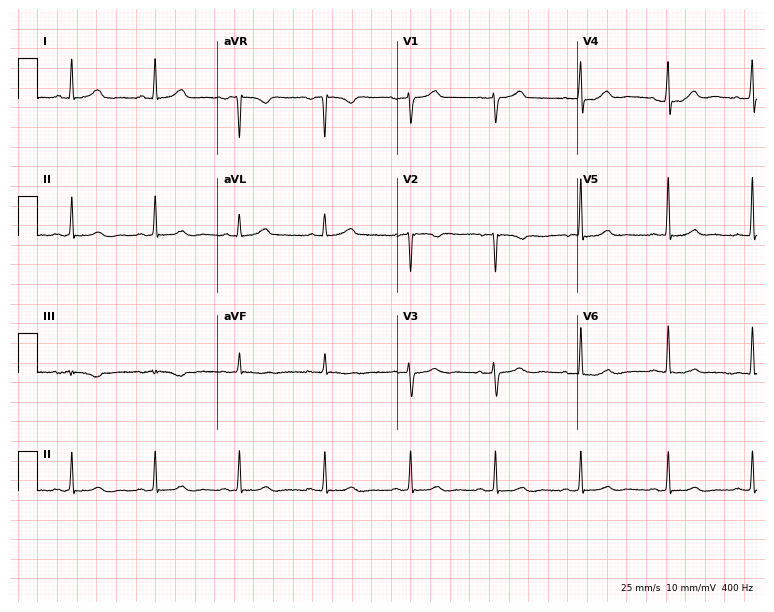
Resting 12-lead electrocardiogram. Patient: a female, 41 years old. Read as a normal ECG.